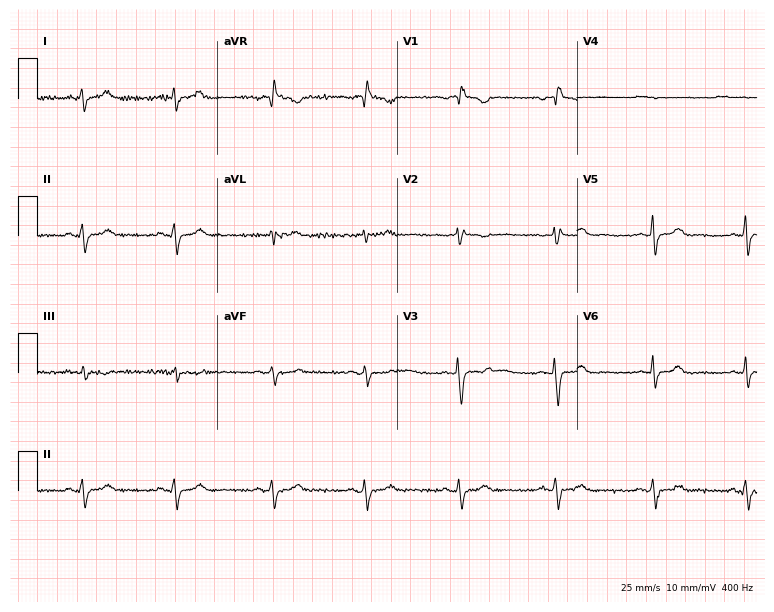
Standard 12-lead ECG recorded from a 33-year-old woman (7.3-second recording at 400 Hz). None of these six findings is recorded: first-degree AV block, right bundle branch block, left bundle branch block, sinus bradycardia, atrial fibrillation, sinus tachycardia. Only these six findings were labelled.